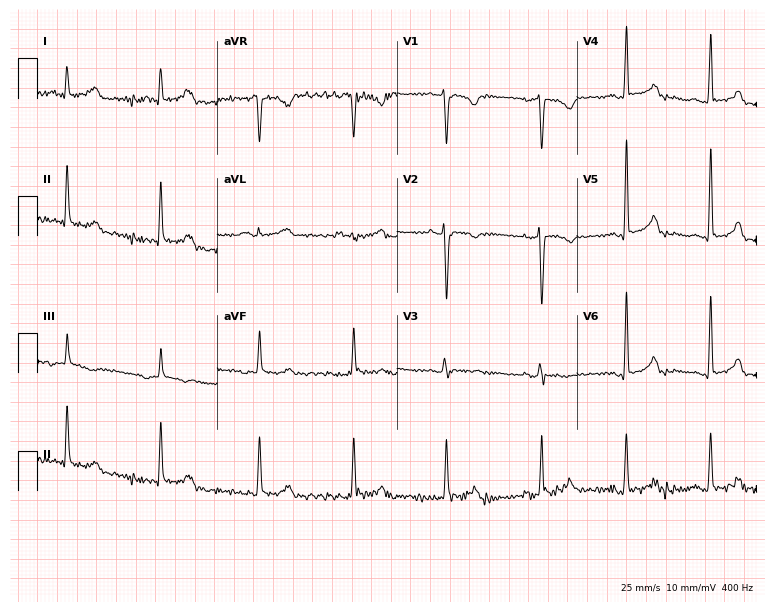
12-lead ECG (7.3-second recording at 400 Hz) from a woman, 34 years old. Screened for six findings — first-degree AV block, right bundle branch block, left bundle branch block, sinus bradycardia, atrial fibrillation, sinus tachycardia — none is recorded.